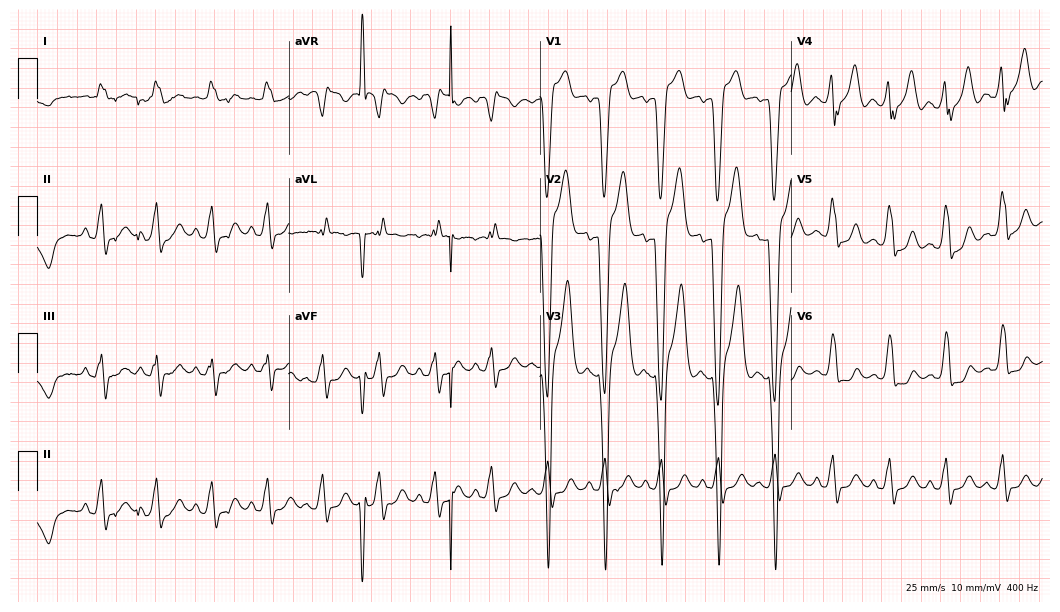
Resting 12-lead electrocardiogram (10.2-second recording at 400 Hz). Patient: a male, 57 years old. None of these six findings is recorded: first-degree AV block, right bundle branch block, left bundle branch block, sinus bradycardia, atrial fibrillation, sinus tachycardia. Other findings, if any, are not listed.